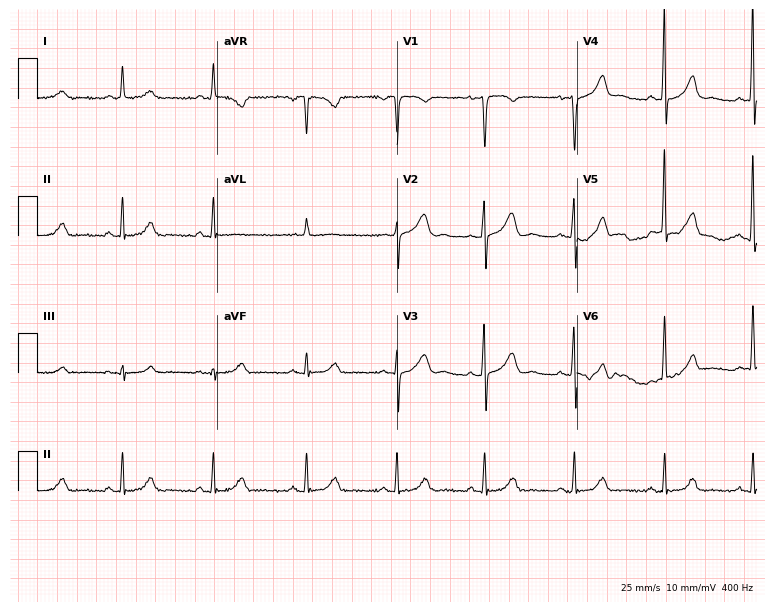
Electrocardiogram, a woman, 48 years old. Overall reading on record: normal ECG.